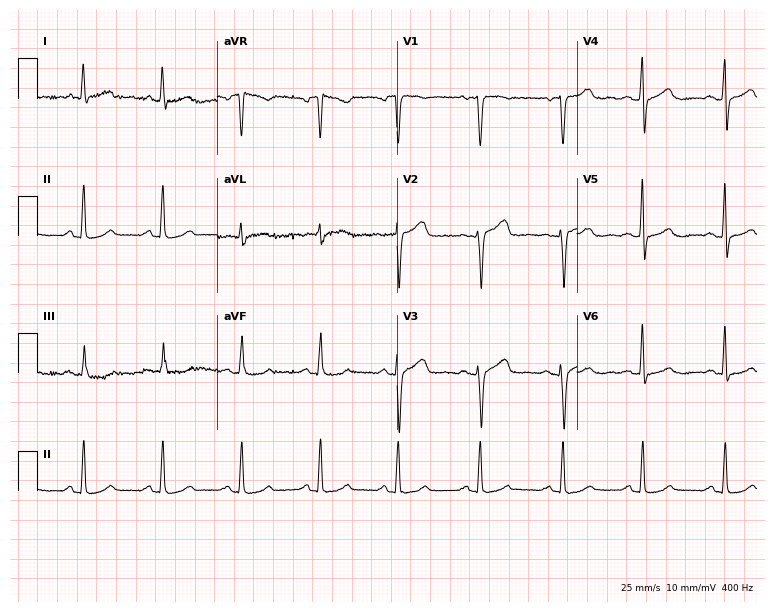
Standard 12-lead ECG recorded from a female, 54 years old. None of these six findings is recorded: first-degree AV block, right bundle branch block, left bundle branch block, sinus bradycardia, atrial fibrillation, sinus tachycardia. Findings outside these six are not listed.